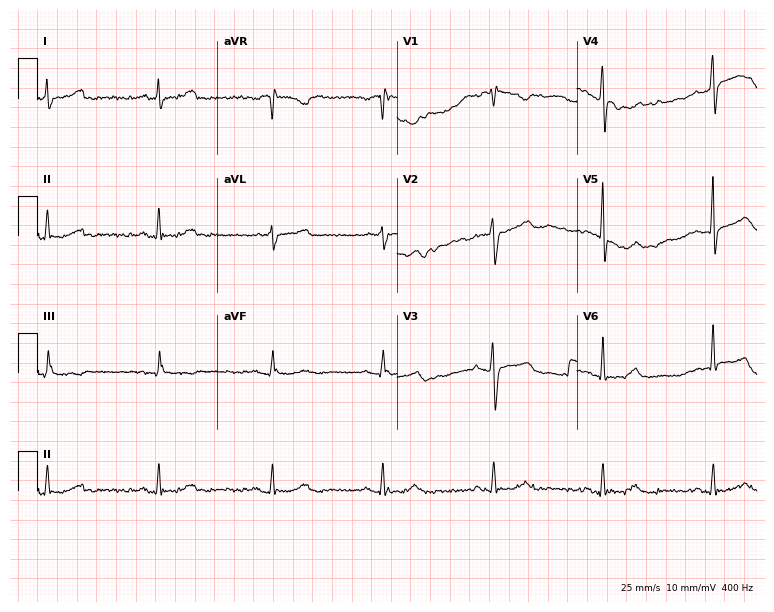
ECG (7.3-second recording at 400 Hz) — a female, 56 years old. Screened for six findings — first-degree AV block, right bundle branch block (RBBB), left bundle branch block (LBBB), sinus bradycardia, atrial fibrillation (AF), sinus tachycardia — none is recorded.